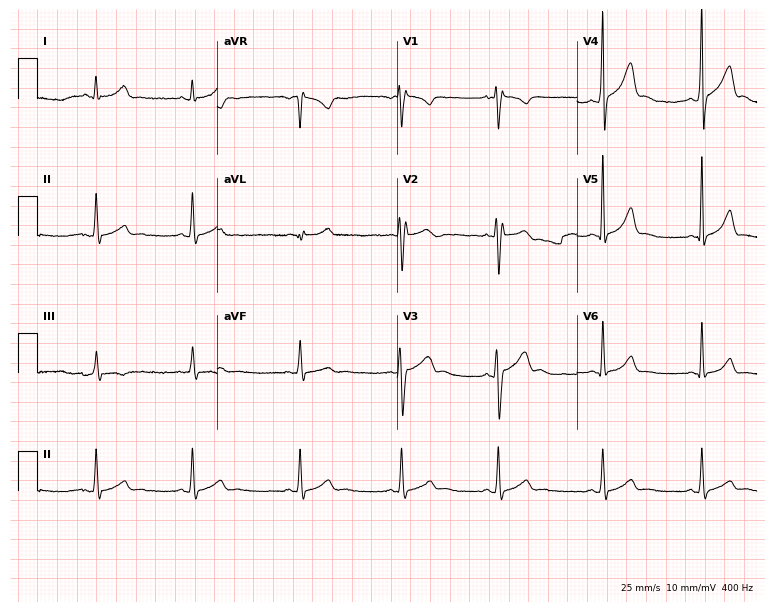
Electrocardiogram, a 17-year-old man. Of the six screened findings (first-degree AV block, right bundle branch block (RBBB), left bundle branch block (LBBB), sinus bradycardia, atrial fibrillation (AF), sinus tachycardia), none is recorded. Only these six findings were labelled.